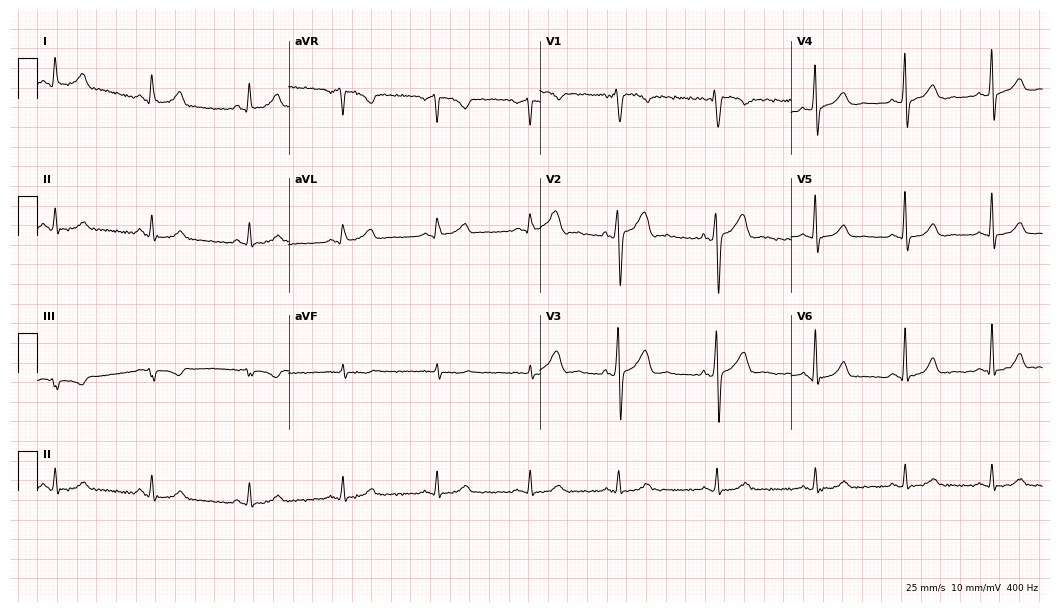
12-lead ECG (10.2-second recording at 400 Hz) from a man, 57 years old. Screened for six findings — first-degree AV block, right bundle branch block, left bundle branch block, sinus bradycardia, atrial fibrillation, sinus tachycardia — none is recorded. Other findings, if any, are not listed.